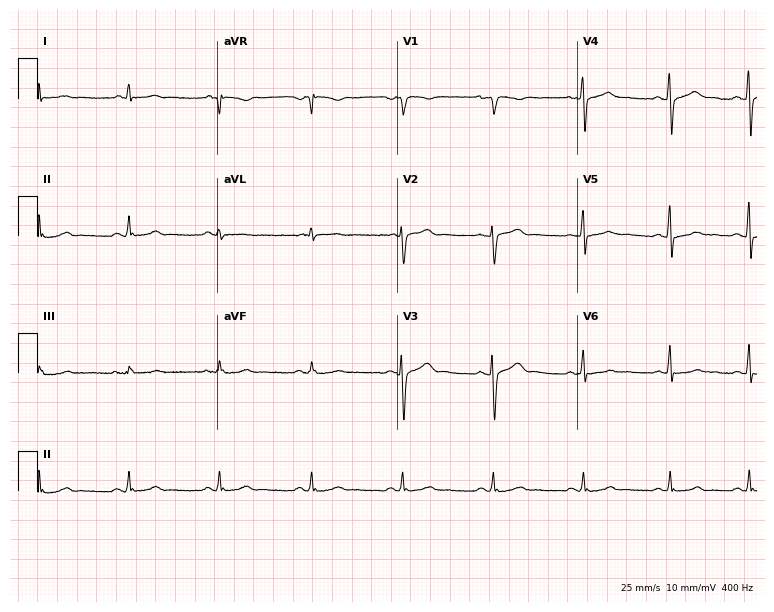
Standard 12-lead ECG recorded from a female, 25 years old. Read as a normal ECG.